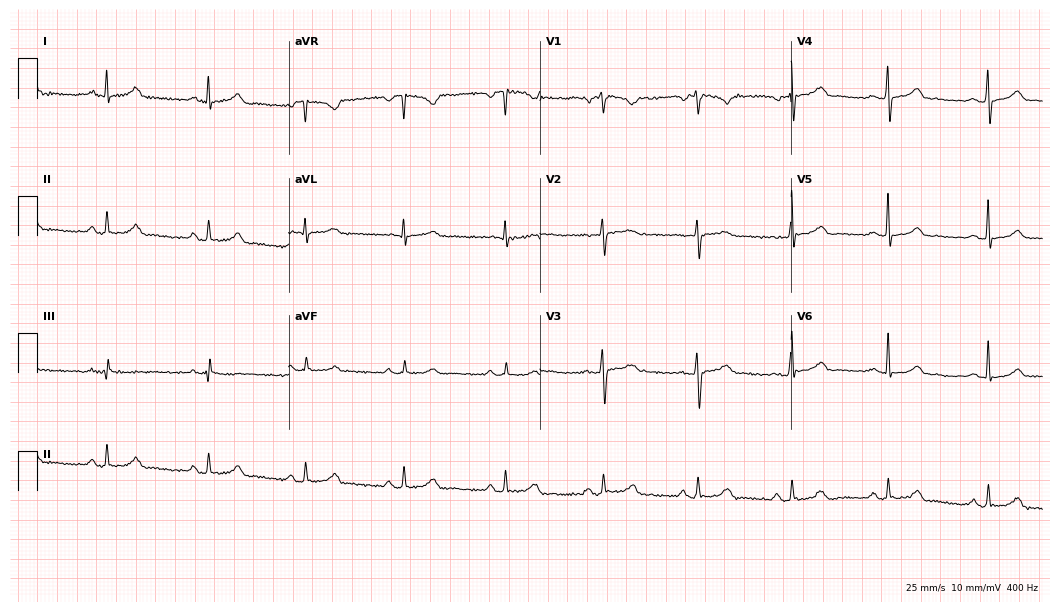
Standard 12-lead ECG recorded from a 49-year-old woman (10.2-second recording at 400 Hz). Read as a normal ECG.